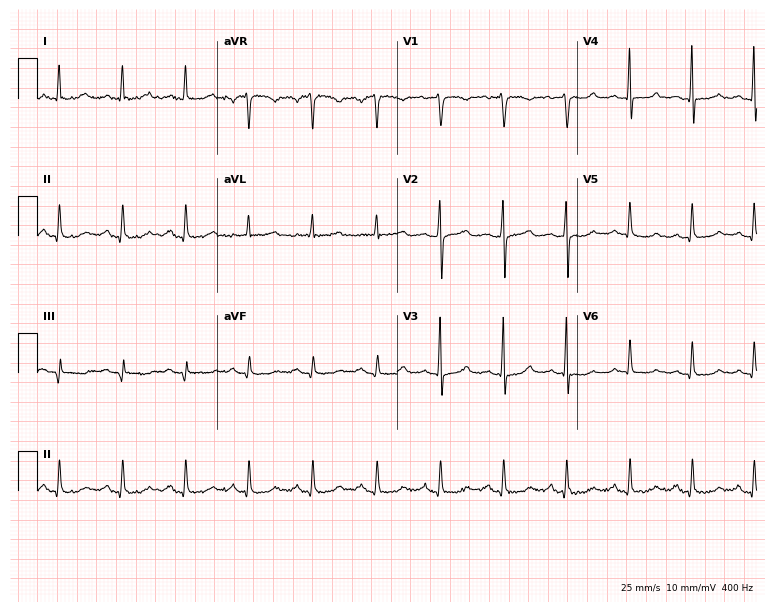
Electrocardiogram (7.3-second recording at 400 Hz), a woman, 53 years old. Overall reading on record: normal ECG.